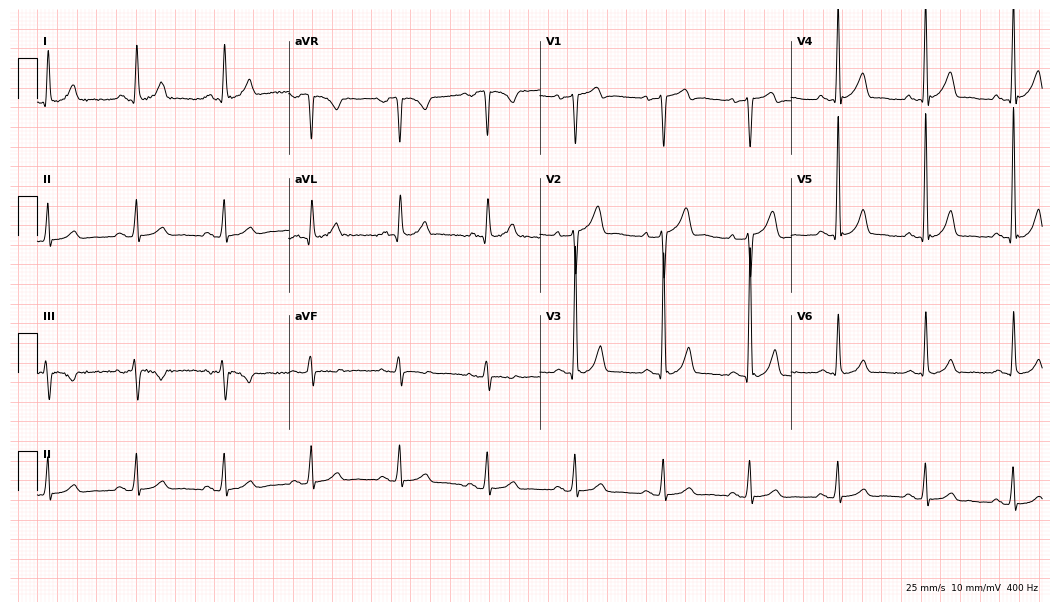
Resting 12-lead electrocardiogram. Patient: a male, 62 years old. Read as a normal ECG.